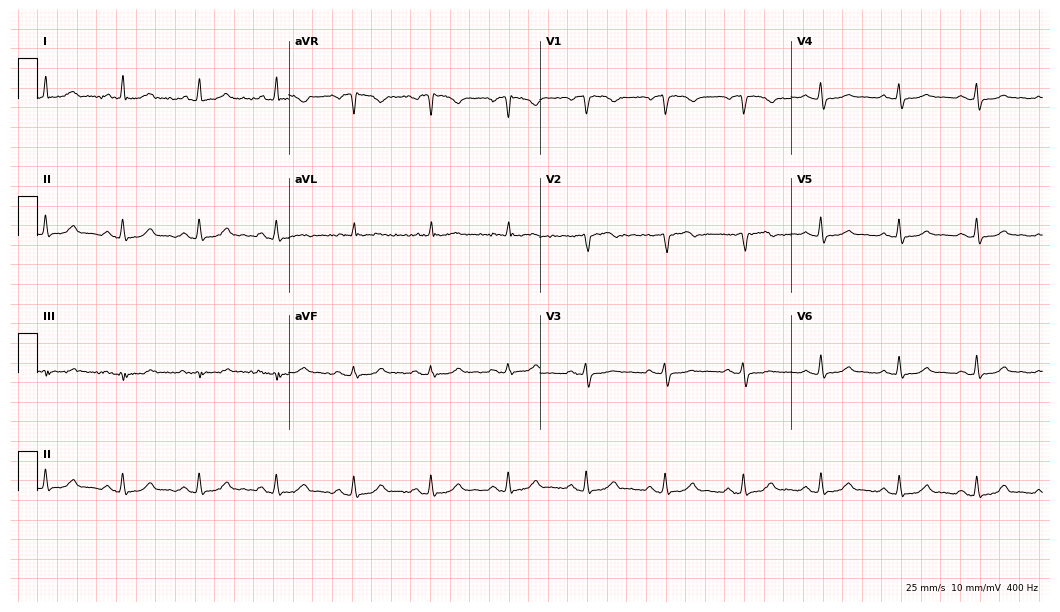
Resting 12-lead electrocardiogram. Patient: a 52-year-old woman. Read as a normal ECG.